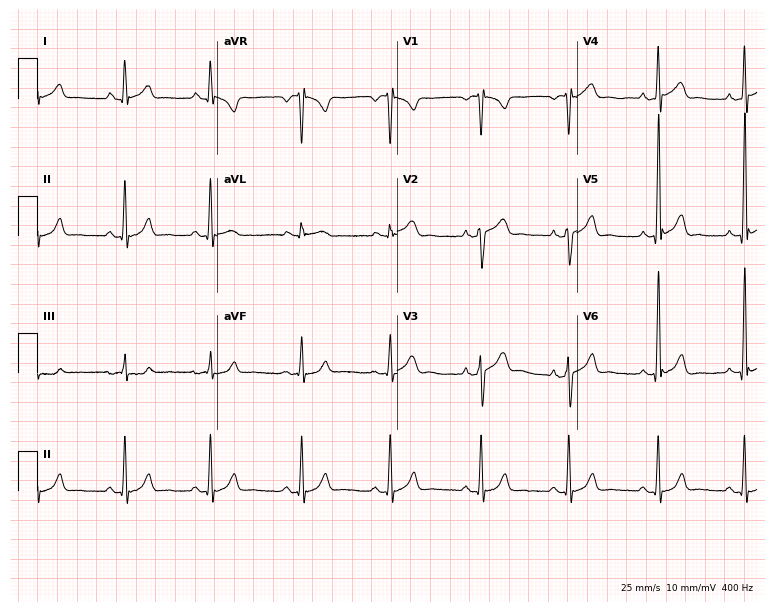
Standard 12-lead ECG recorded from a man, 33 years old (7.3-second recording at 400 Hz). Read as a normal ECG.